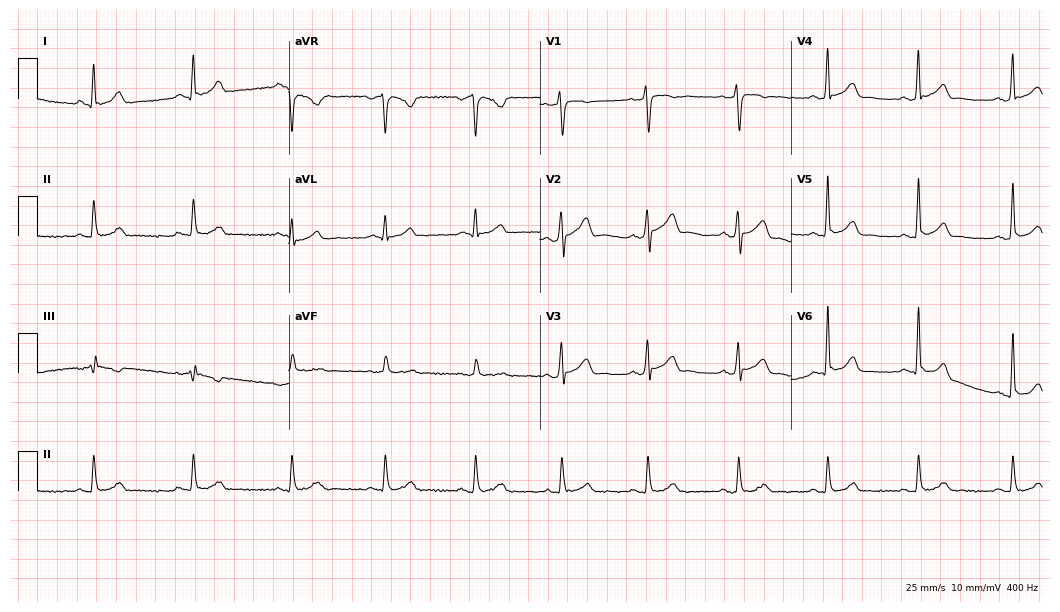
12-lead ECG from a 31-year-old male patient. Labelled as a normal ECG.